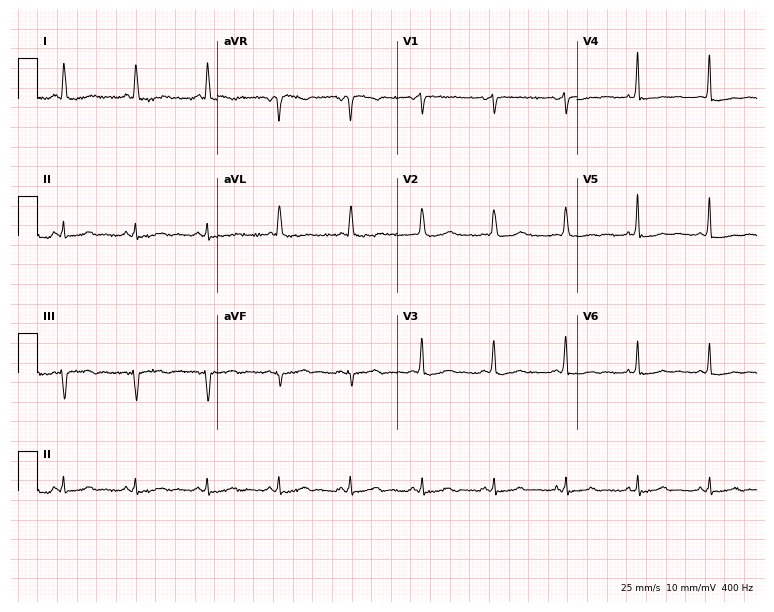
Electrocardiogram (7.3-second recording at 400 Hz), a female patient, 75 years old. Of the six screened findings (first-degree AV block, right bundle branch block (RBBB), left bundle branch block (LBBB), sinus bradycardia, atrial fibrillation (AF), sinus tachycardia), none is recorded.